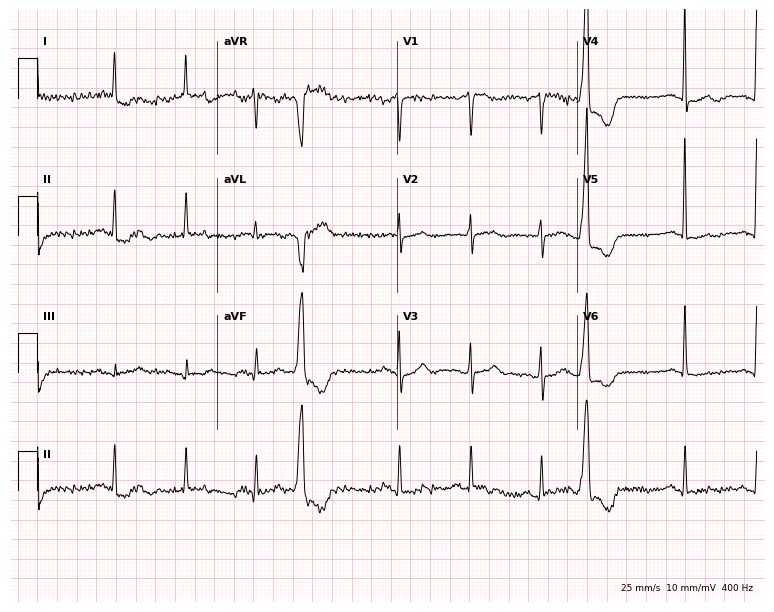
Resting 12-lead electrocardiogram (7.3-second recording at 400 Hz). Patient: a female, 83 years old. None of these six findings is recorded: first-degree AV block, right bundle branch block (RBBB), left bundle branch block (LBBB), sinus bradycardia, atrial fibrillation (AF), sinus tachycardia.